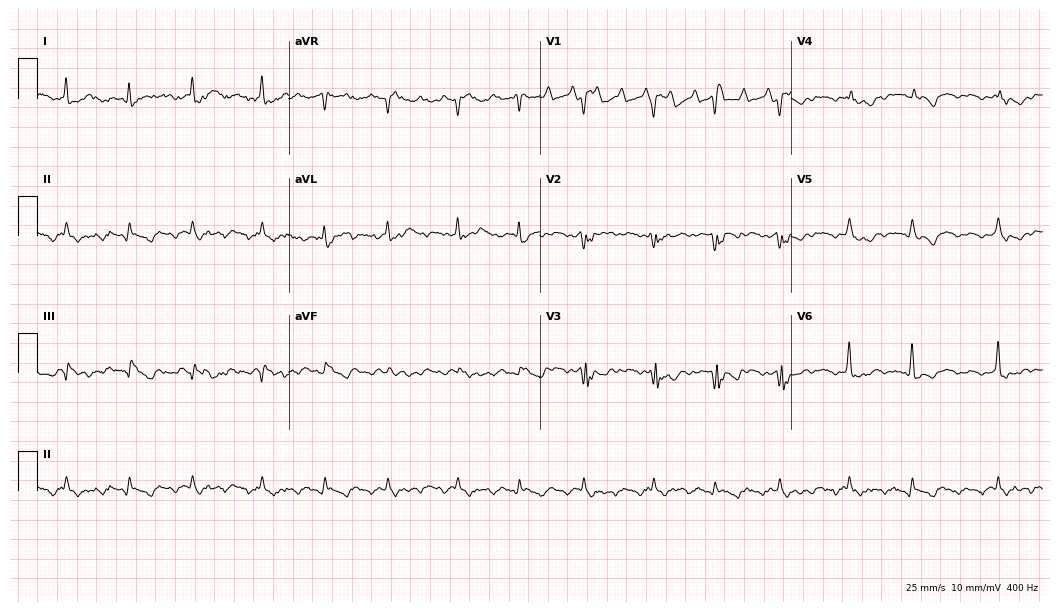
Resting 12-lead electrocardiogram (10.2-second recording at 400 Hz). Patient: a 69-year-old male. None of these six findings is recorded: first-degree AV block, right bundle branch block, left bundle branch block, sinus bradycardia, atrial fibrillation, sinus tachycardia.